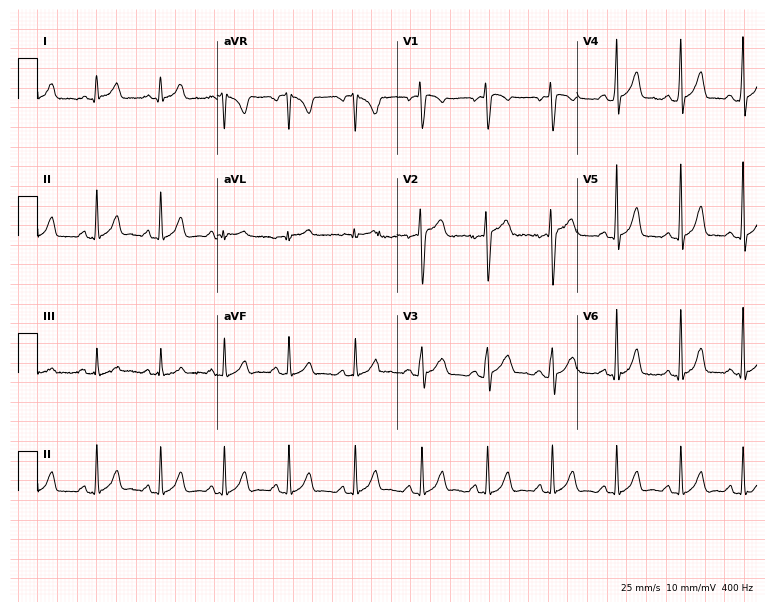
Standard 12-lead ECG recorded from a male, 17 years old. Read as a normal ECG.